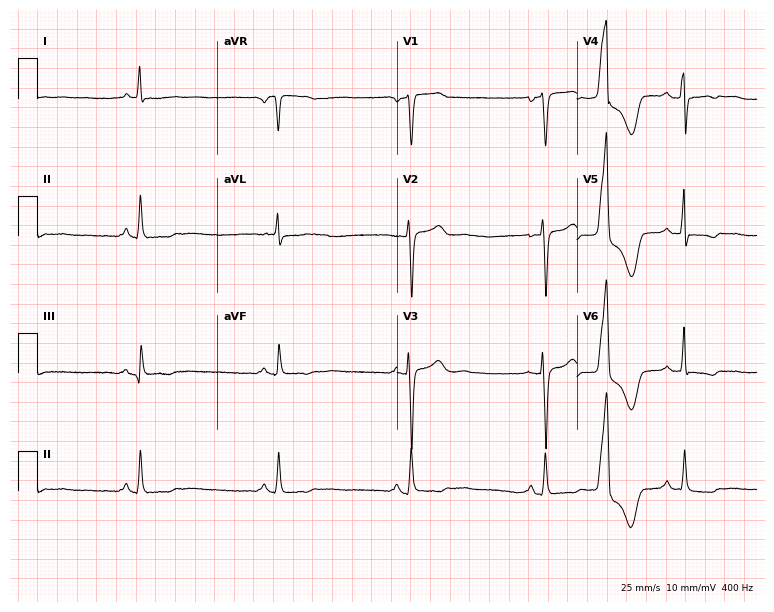
ECG (7.3-second recording at 400 Hz) — a female patient, 59 years old. Findings include sinus bradycardia (a sinus rate of 50 beats per minute or less).